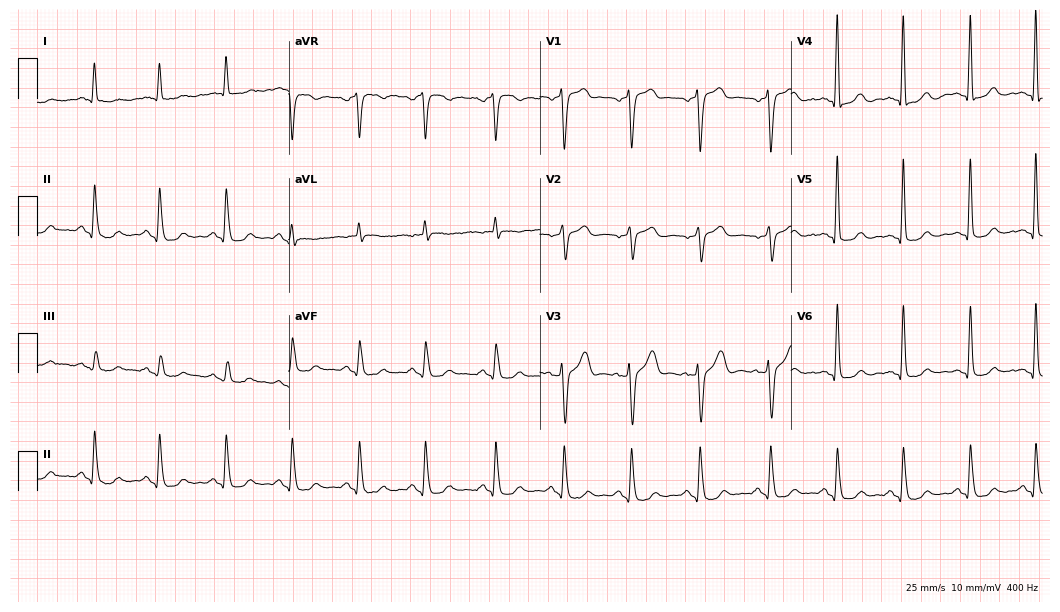
Standard 12-lead ECG recorded from a 67-year-old male patient. Read as a normal ECG.